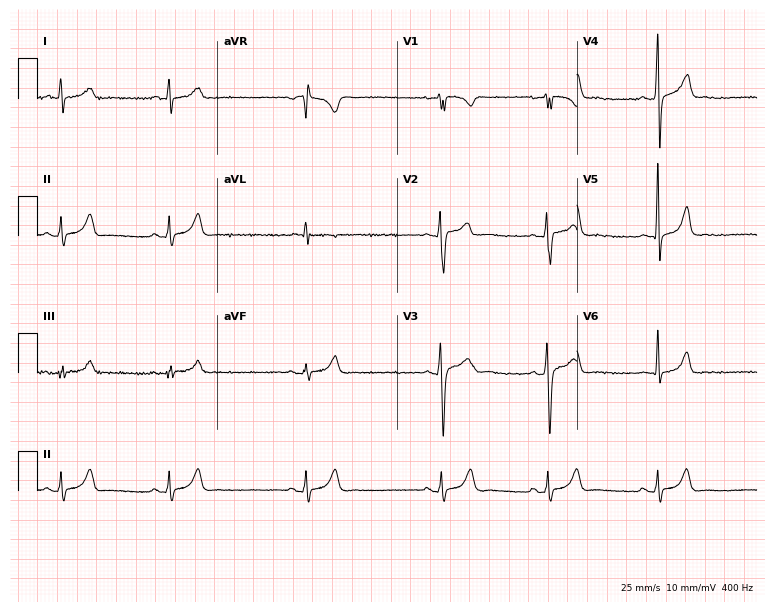
Electrocardiogram, a male patient, 20 years old. Interpretation includes sinus bradycardia (a sinus rate of 50 beats per minute or less).